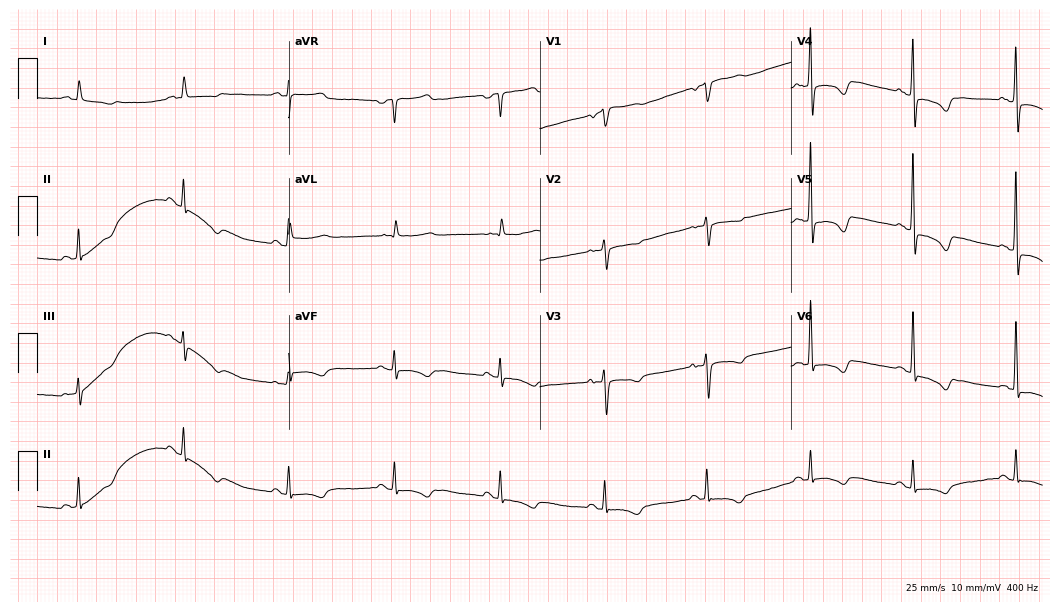
Electrocardiogram (10.2-second recording at 400 Hz), a woman, 78 years old. Of the six screened findings (first-degree AV block, right bundle branch block, left bundle branch block, sinus bradycardia, atrial fibrillation, sinus tachycardia), none is recorded. Findings outside these six are not listed.